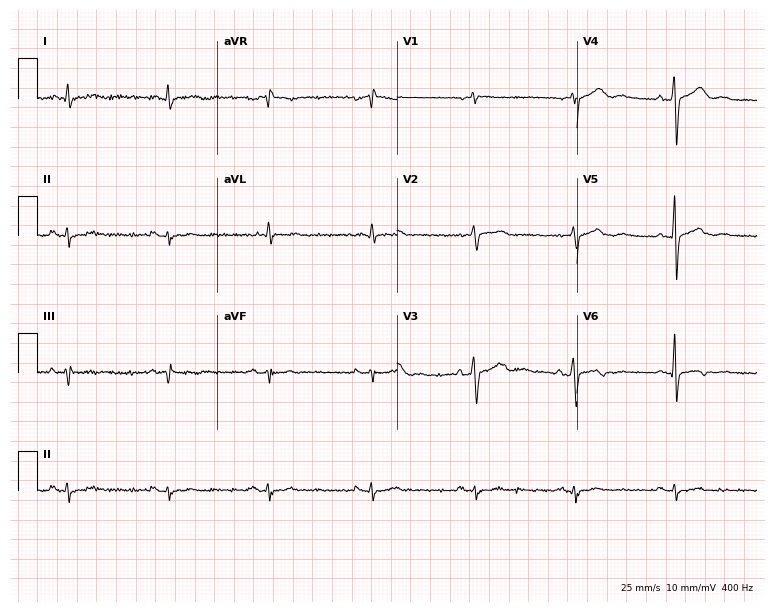
ECG — a 67-year-old man. Labelled as a normal ECG.